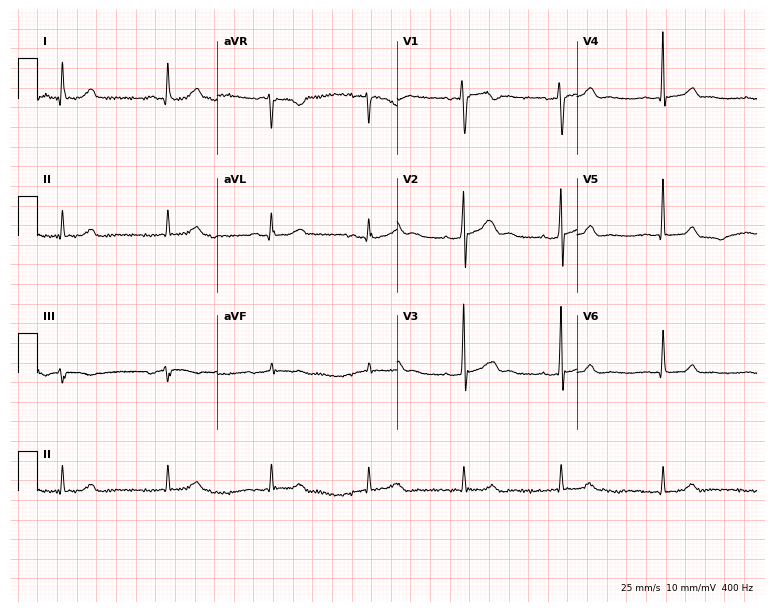
ECG (7.3-second recording at 400 Hz) — a man, 35 years old. Labelled as a normal ECG.